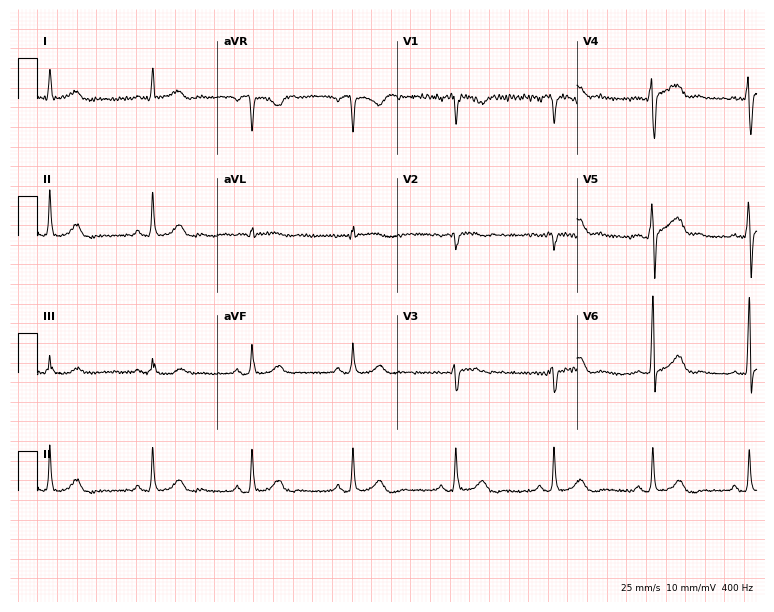
Resting 12-lead electrocardiogram (7.3-second recording at 400 Hz). Patient: a 59-year-old male. Read as a normal ECG.